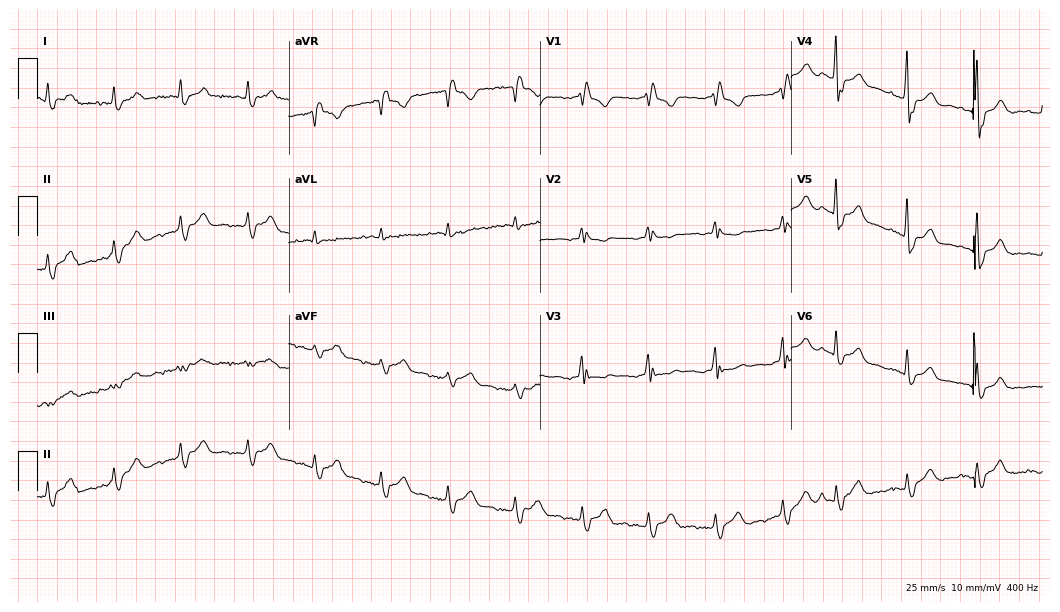
Standard 12-lead ECG recorded from a 70-year-old woman. The tracing shows right bundle branch block, atrial fibrillation.